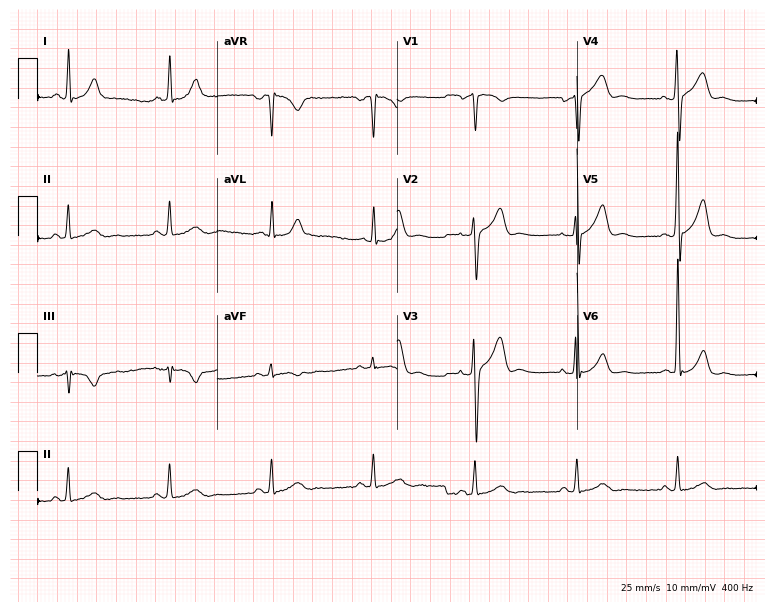
Electrocardiogram, a man, 53 years old. Of the six screened findings (first-degree AV block, right bundle branch block (RBBB), left bundle branch block (LBBB), sinus bradycardia, atrial fibrillation (AF), sinus tachycardia), none is recorded.